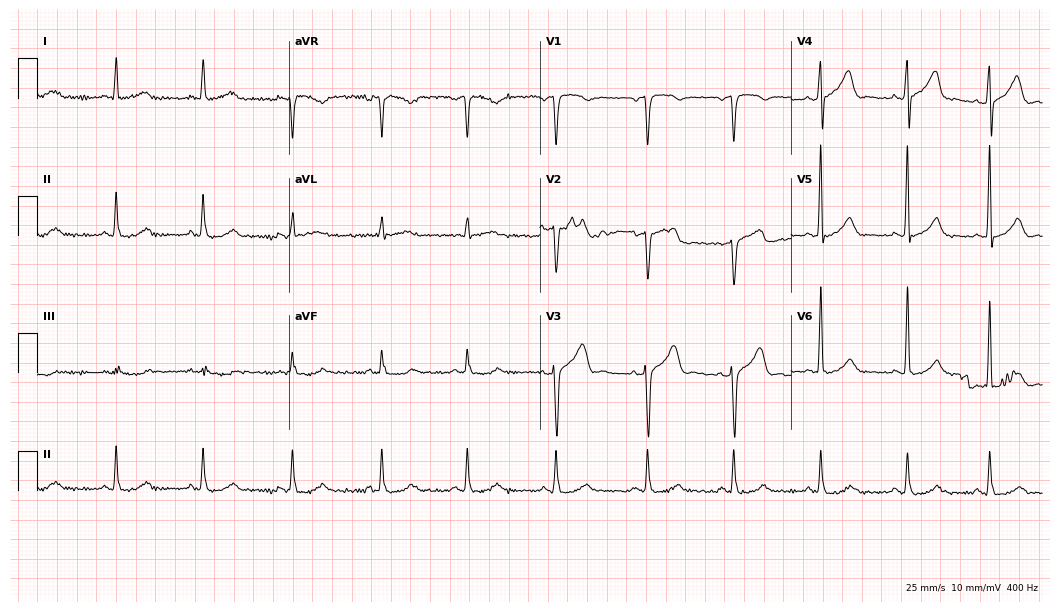
Resting 12-lead electrocardiogram. Patient: a 49-year-old male. None of these six findings is recorded: first-degree AV block, right bundle branch block (RBBB), left bundle branch block (LBBB), sinus bradycardia, atrial fibrillation (AF), sinus tachycardia. Findings outside these six are not listed.